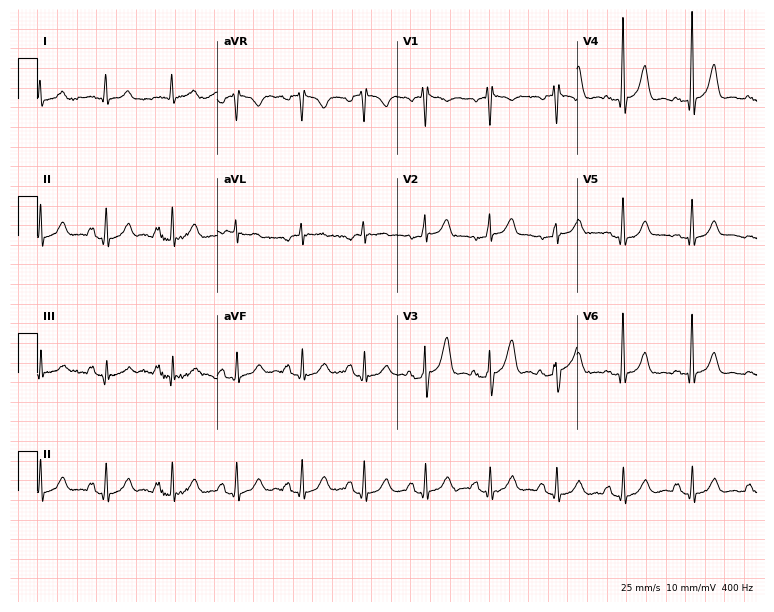
Resting 12-lead electrocardiogram. Patient: a man, 58 years old. Read as a normal ECG.